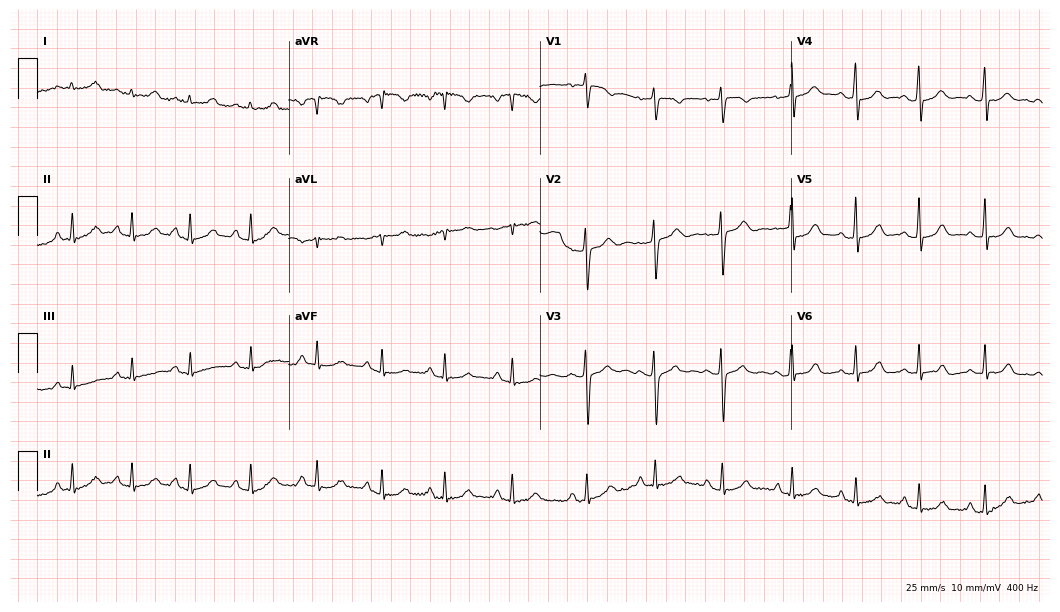
12-lead ECG from an 18-year-old female. Recorded interpretation: within normal limits.